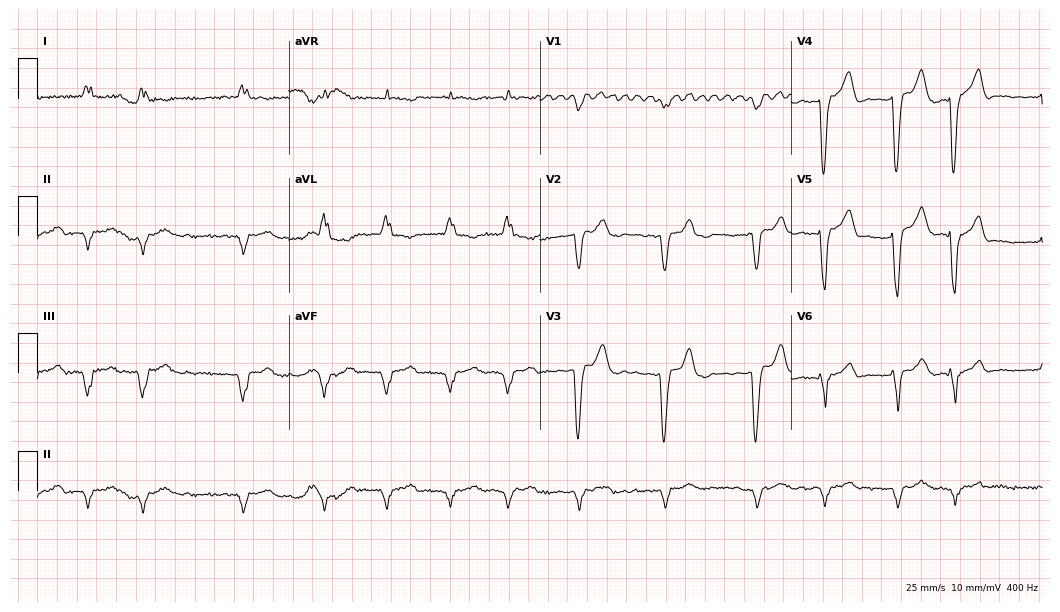
Standard 12-lead ECG recorded from a male, 71 years old (10.2-second recording at 400 Hz). The tracing shows left bundle branch block (LBBB), atrial fibrillation (AF).